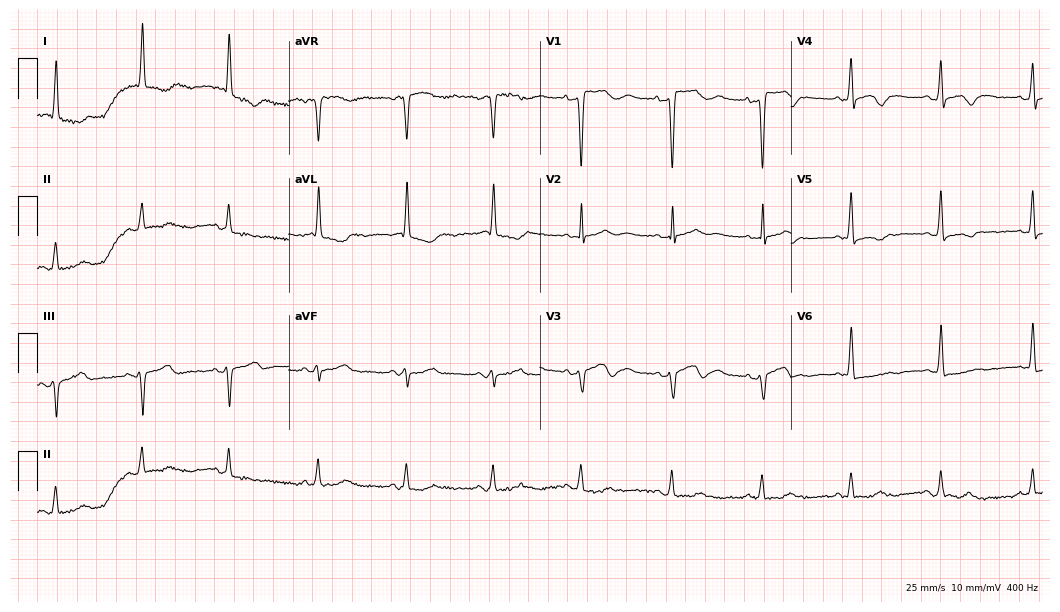
ECG — a 78-year-old female. Screened for six findings — first-degree AV block, right bundle branch block (RBBB), left bundle branch block (LBBB), sinus bradycardia, atrial fibrillation (AF), sinus tachycardia — none is recorded. Only these six findings were labelled.